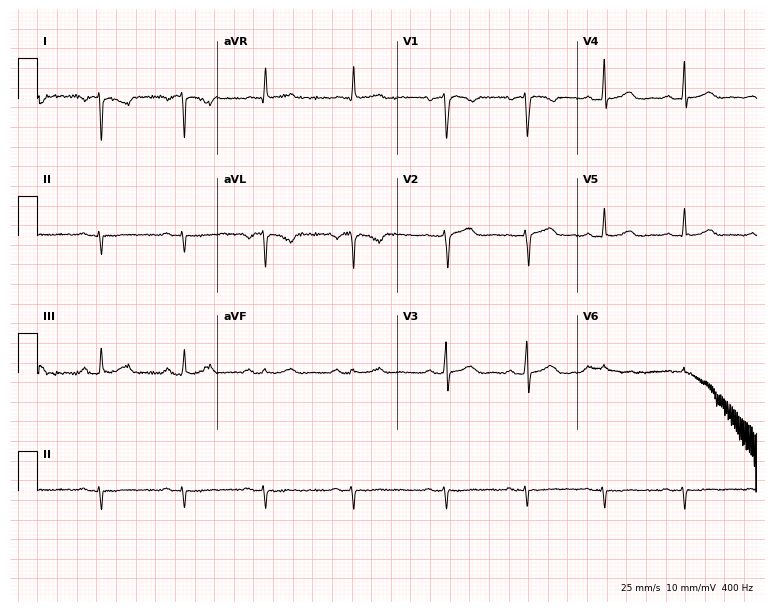
Electrocardiogram (7.3-second recording at 400 Hz), a female patient, 50 years old. Of the six screened findings (first-degree AV block, right bundle branch block (RBBB), left bundle branch block (LBBB), sinus bradycardia, atrial fibrillation (AF), sinus tachycardia), none is recorded. Other findings, if any, are not listed.